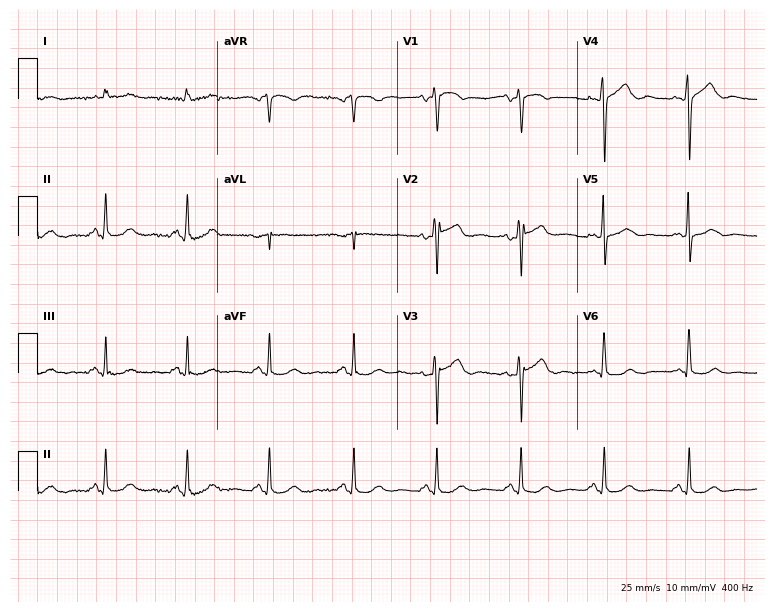
Electrocardiogram (7.3-second recording at 400 Hz), a 63-year-old male. Of the six screened findings (first-degree AV block, right bundle branch block, left bundle branch block, sinus bradycardia, atrial fibrillation, sinus tachycardia), none is recorded. Only these six findings were labelled.